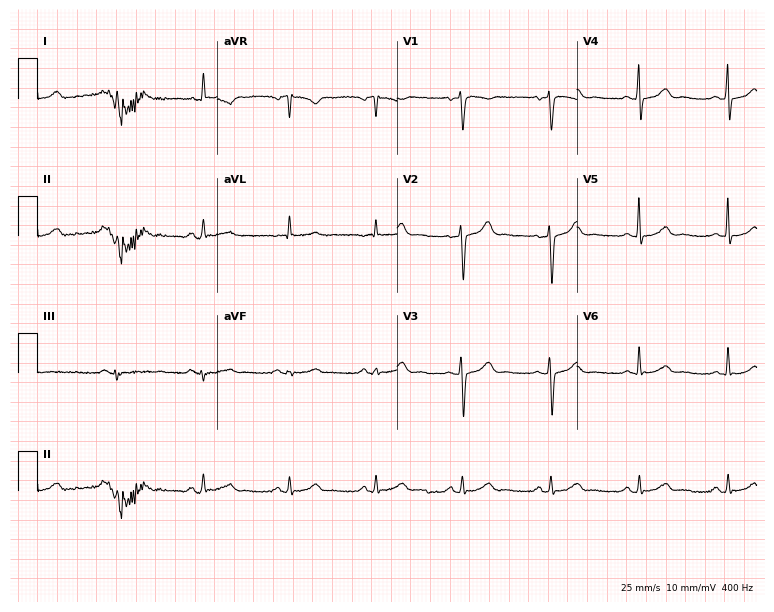
12-lead ECG from a 53-year-old male. No first-degree AV block, right bundle branch block, left bundle branch block, sinus bradycardia, atrial fibrillation or sinus tachycardia recorded for this tracing. Only these six findings were labelled.